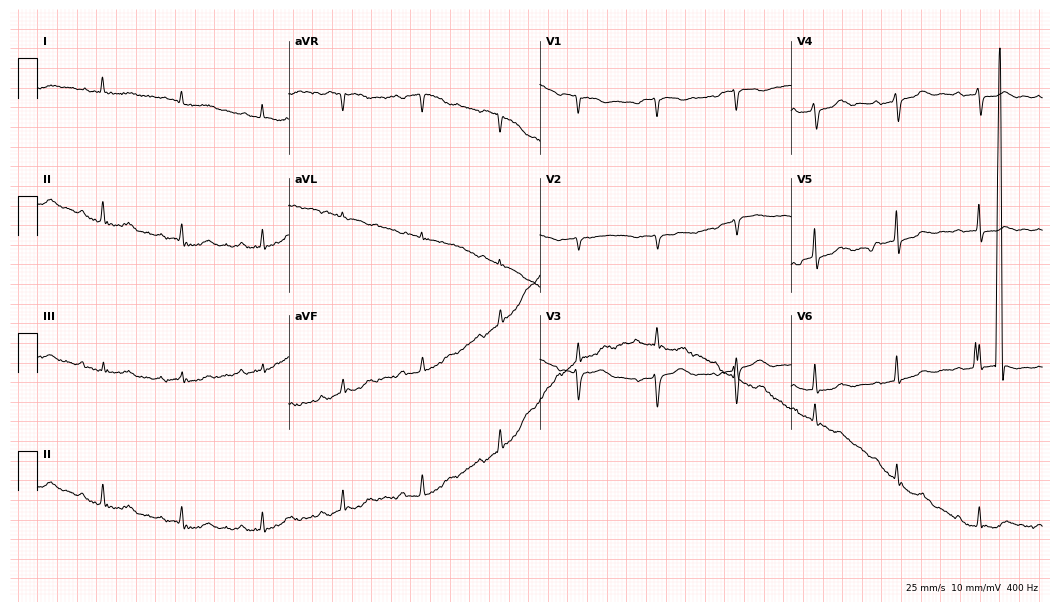
ECG — a female, 84 years old. Screened for six findings — first-degree AV block, right bundle branch block, left bundle branch block, sinus bradycardia, atrial fibrillation, sinus tachycardia — none is recorded. Other findings, if any, are not listed.